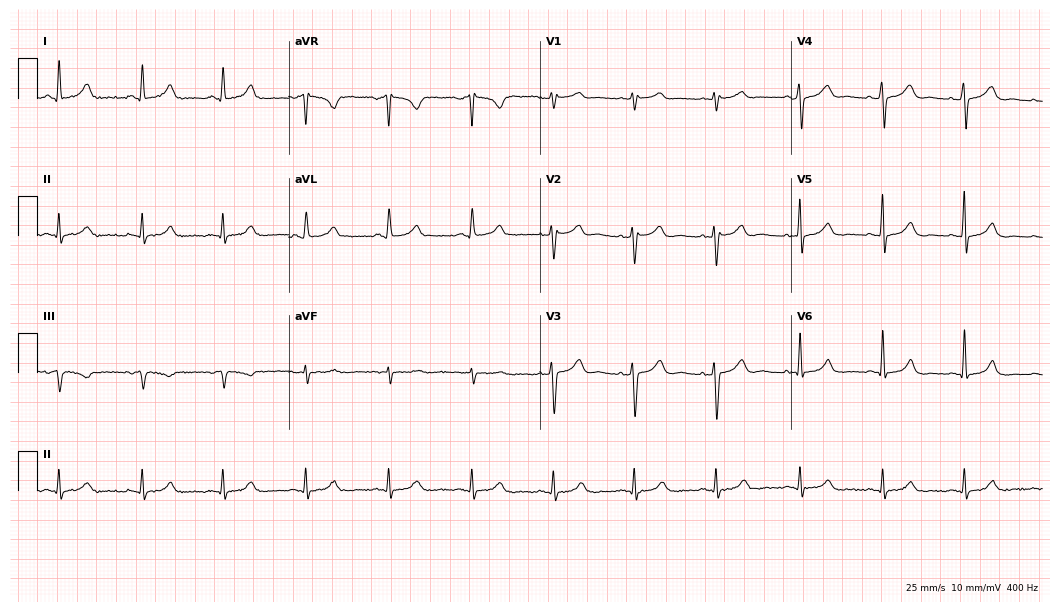
Standard 12-lead ECG recorded from a female, 42 years old (10.2-second recording at 400 Hz). Read as a normal ECG.